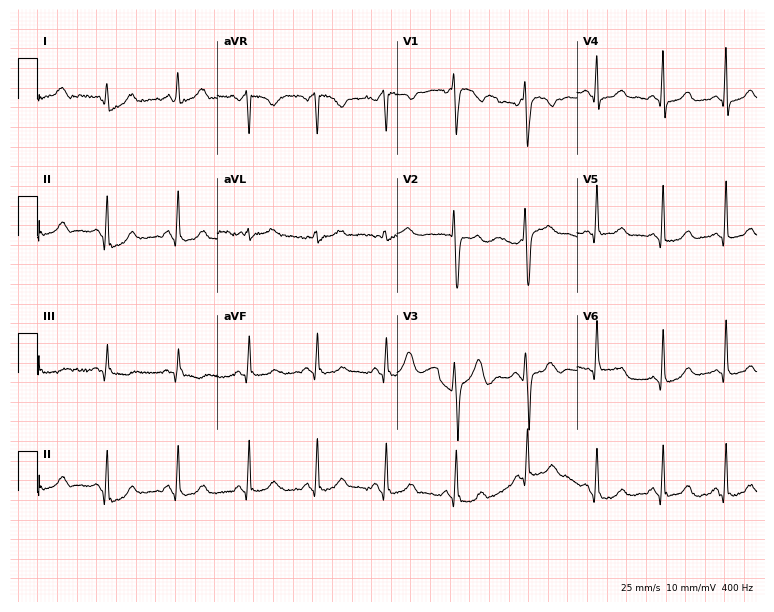
Resting 12-lead electrocardiogram (7.3-second recording at 400 Hz). Patient: a 29-year-old female. Read as a normal ECG.